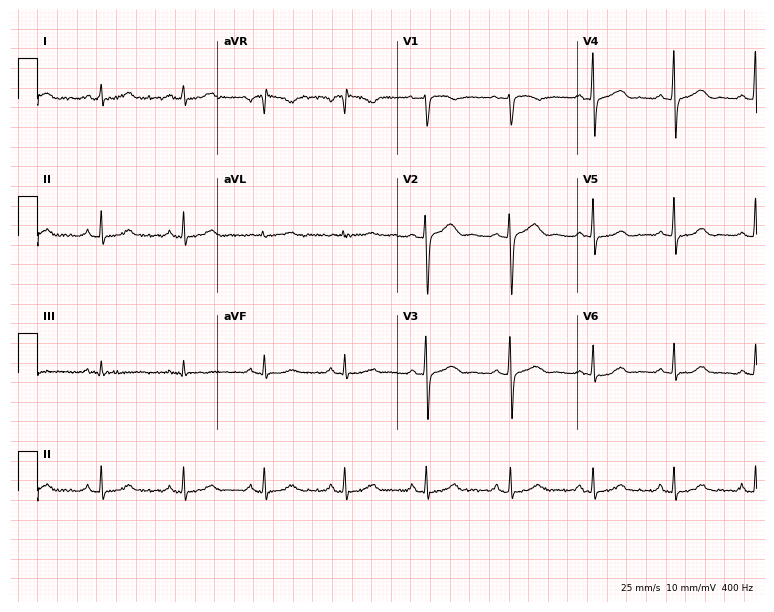
Electrocardiogram, a 36-year-old female. Of the six screened findings (first-degree AV block, right bundle branch block (RBBB), left bundle branch block (LBBB), sinus bradycardia, atrial fibrillation (AF), sinus tachycardia), none is recorded. Findings outside these six are not listed.